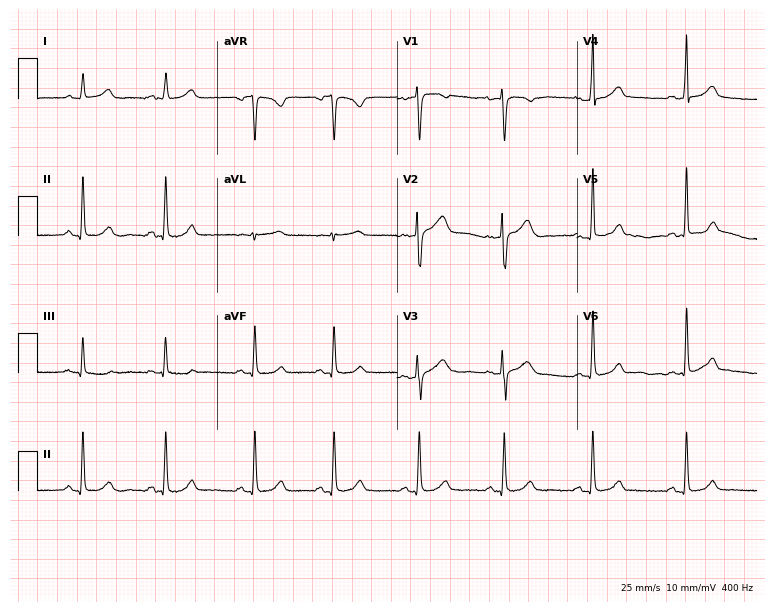
12-lead ECG from a 33-year-old female (7.3-second recording at 400 Hz). No first-degree AV block, right bundle branch block (RBBB), left bundle branch block (LBBB), sinus bradycardia, atrial fibrillation (AF) or sinus tachycardia recorded for this tracing.